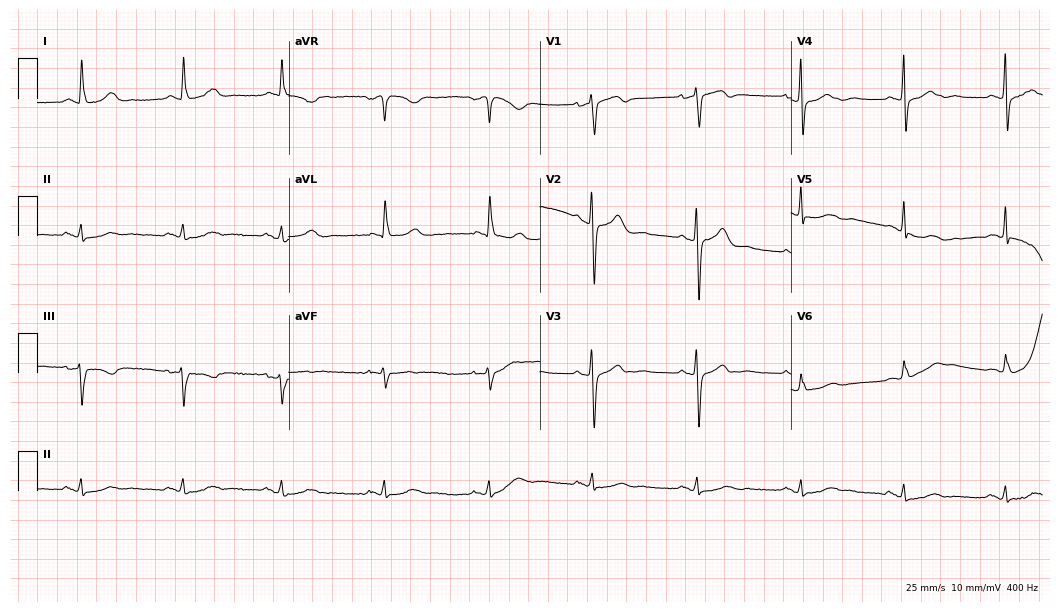
ECG — a woman, 70 years old. Screened for six findings — first-degree AV block, right bundle branch block, left bundle branch block, sinus bradycardia, atrial fibrillation, sinus tachycardia — none is recorded. Other findings, if any, are not listed.